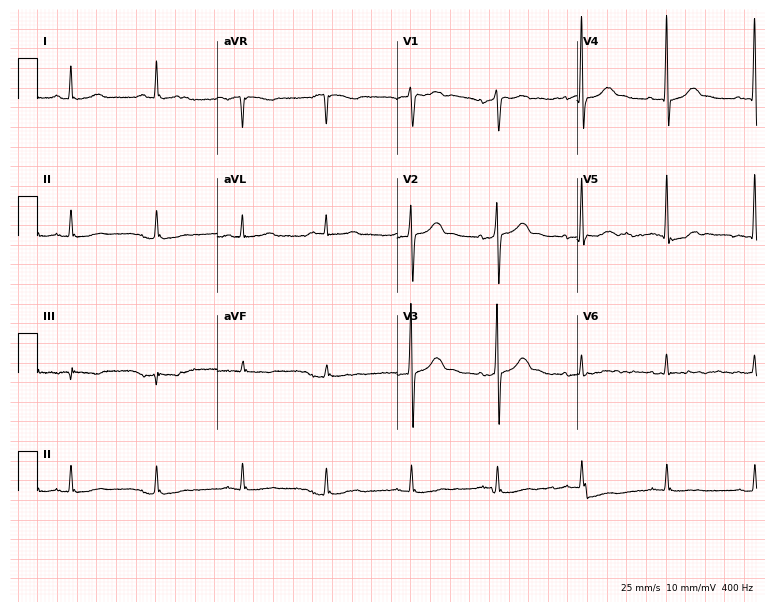
12-lead ECG from a 42-year-old man. No first-degree AV block, right bundle branch block (RBBB), left bundle branch block (LBBB), sinus bradycardia, atrial fibrillation (AF) or sinus tachycardia recorded for this tracing.